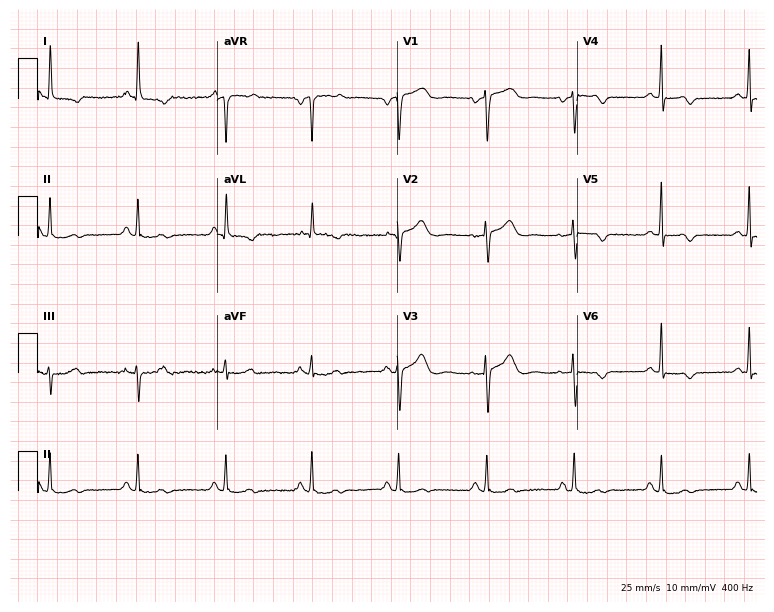
Resting 12-lead electrocardiogram (7.3-second recording at 400 Hz). Patient: a female, 72 years old. None of these six findings is recorded: first-degree AV block, right bundle branch block, left bundle branch block, sinus bradycardia, atrial fibrillation, sinus tachycardia.